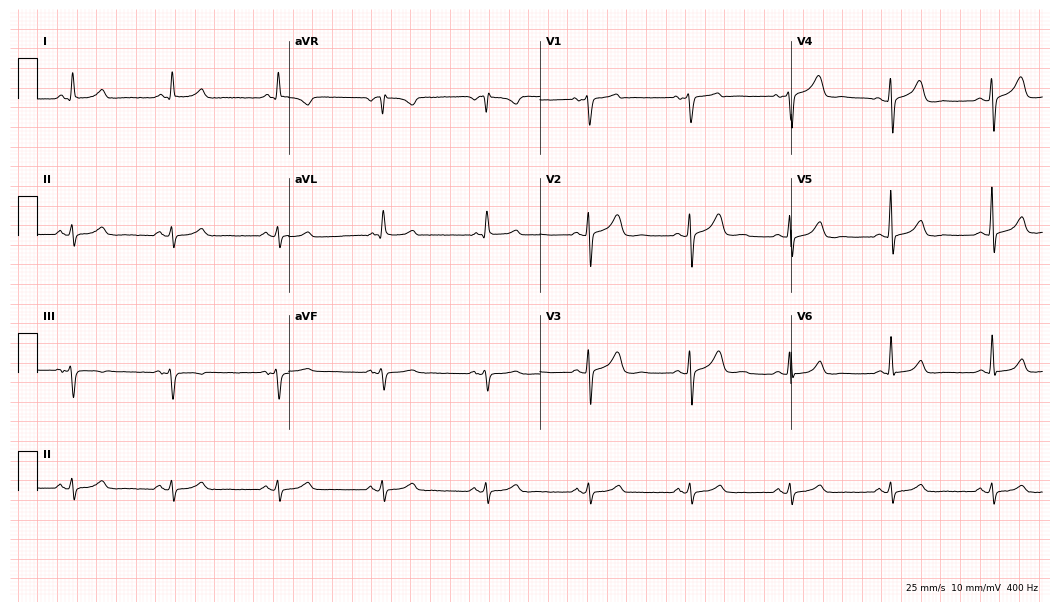
Resting 12-lead electrocardiogram (10.2-second recording at 400 Hz). Patient: a man, 65 years old. Read as a normal ECG.